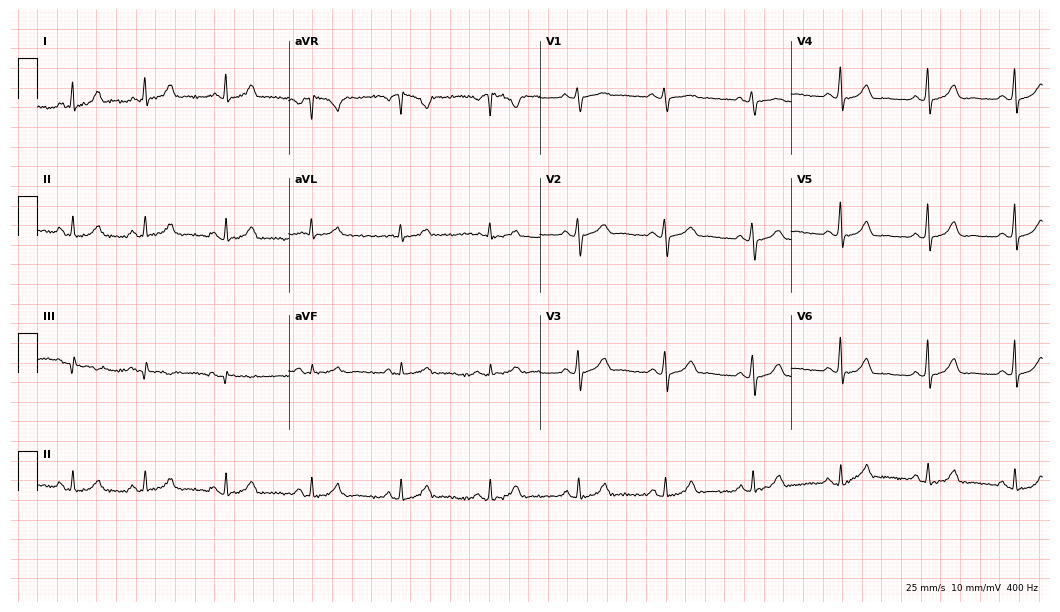
Electrocardiogram, a 49-year-old female. Overall reading on record: normal ECG.